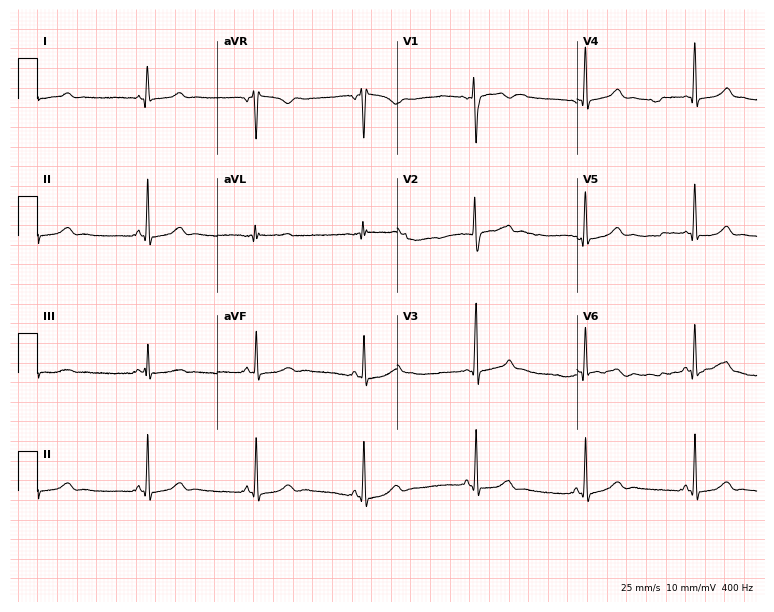
ECG (7.3-second recording at 400 Hz) — a woman, 24 years old. Screened for six findings — first-degree AV block, right bundle branch block, left bundle branch block, sinus bradycardia, atrial fibrillation, sinus tachycardia — none is recorded. Other findings, if any, are not listed.